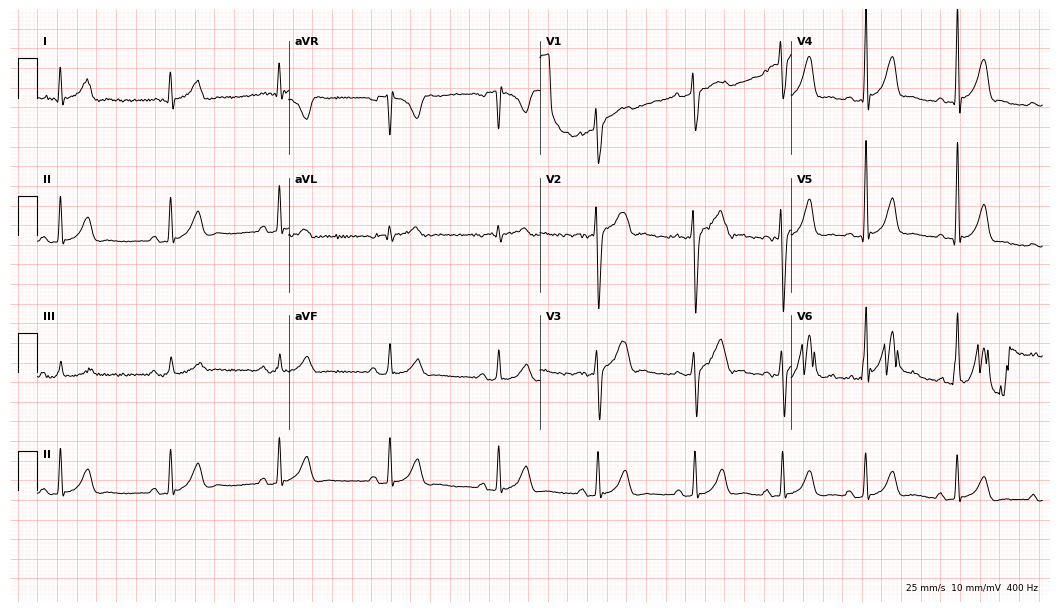
Electrocardiogram (10.2-second recording at 400 Hz), a 24-year-old male. Overall reading on record: normal ECG.